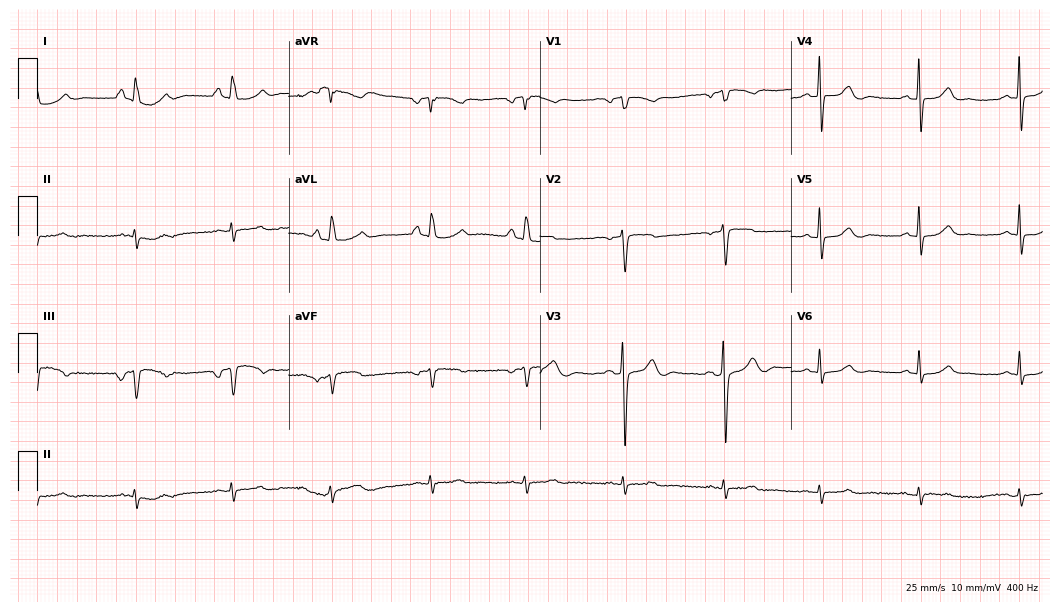
12-lead ECG from a man, 73 years old (10.2-second recording at 400 Hz). No first-degree AV block, right bundle branch block, left bundle branch block, sinus bradycardia, atrial fibrillation or sinus tachycardia recorded for this tracing.